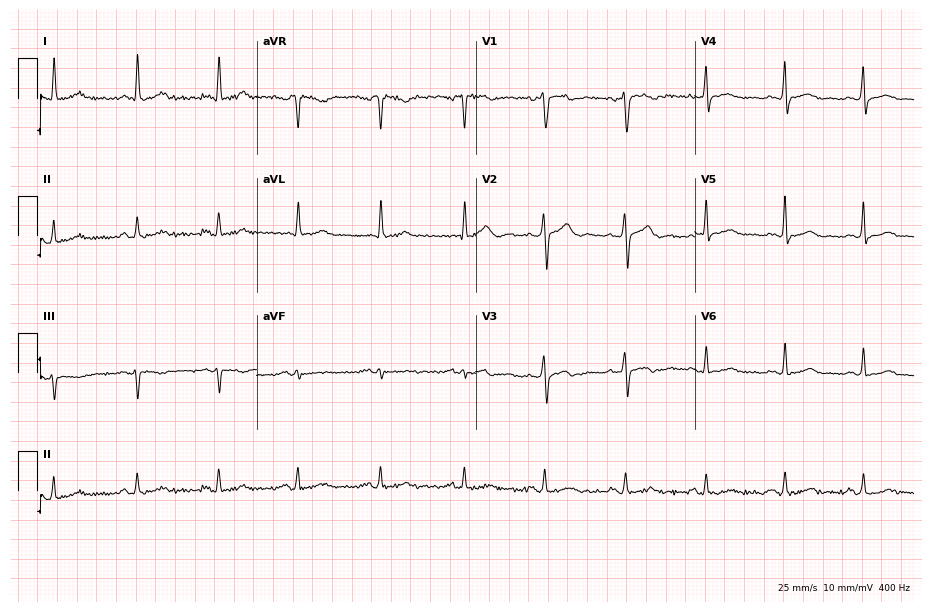
12-lead ECG from a 44-year-old female patient (8.9-second recording at 400 Hz). Recorded interpretation: within normal limits.